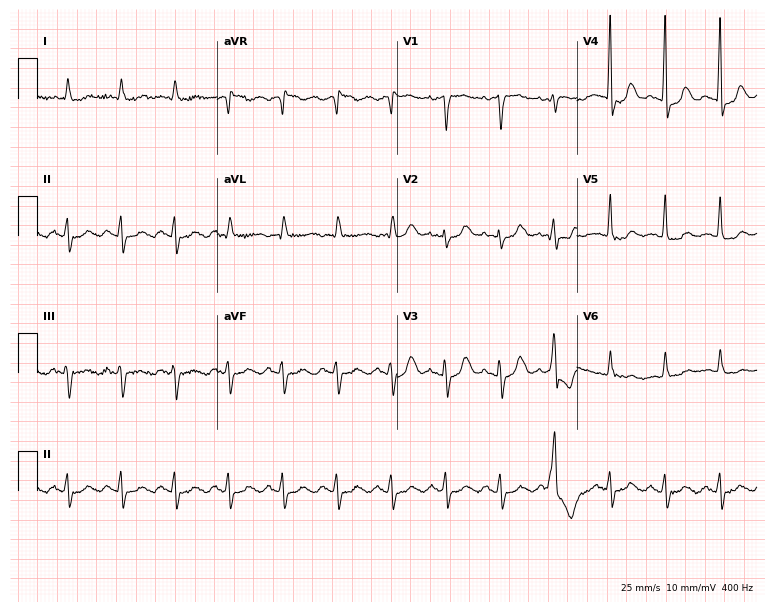
Resting 12-lead electrocardiogram. Patient: an 80-year-old female. None of these six findings is recorded: first-degree AV block, right bundle branch block, left bundle branch block, sinus bradycardia, atrial fibrillation, sinus tachycardia. Other findings, if any, are not listed.